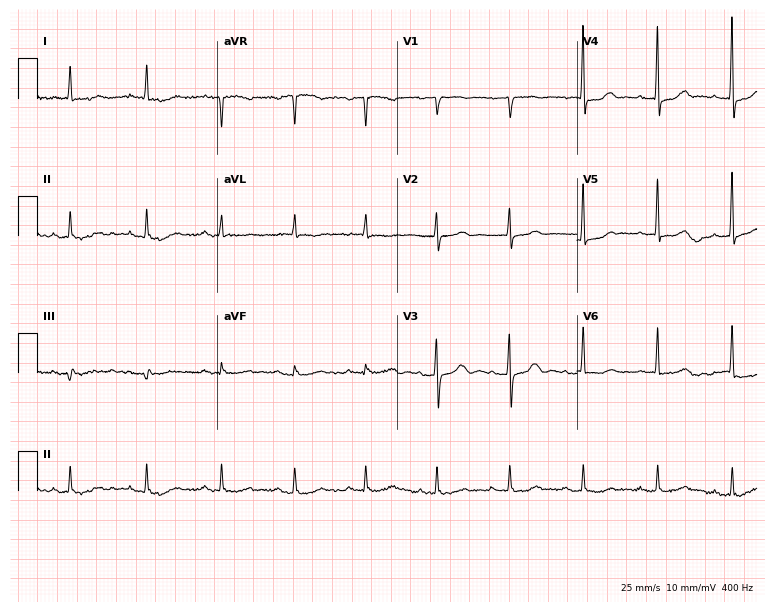
Resting 12-lead electrocardiogram. Patient: an 82-year-old female. None of these six findings is recorded: first-degree AV block, right bundle branch block, left bundle branch block, sinus bradycardia, atrial fibrillation, sinus tachycardia. Findings outside these six are not listed.